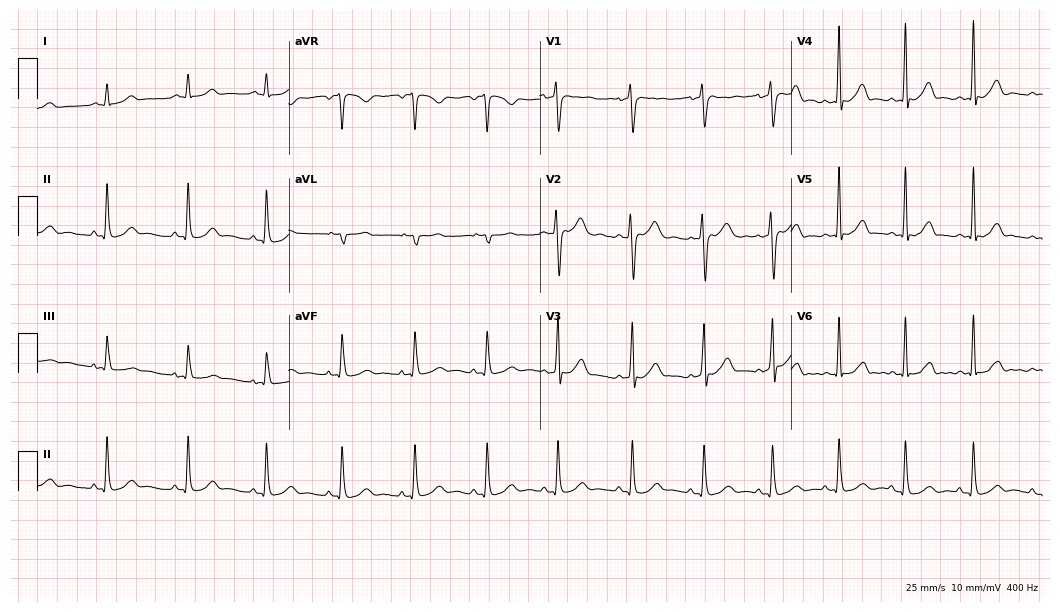
12-lead ECG from a female patient, 18 years old. Recorded interpretation: within normal limits.